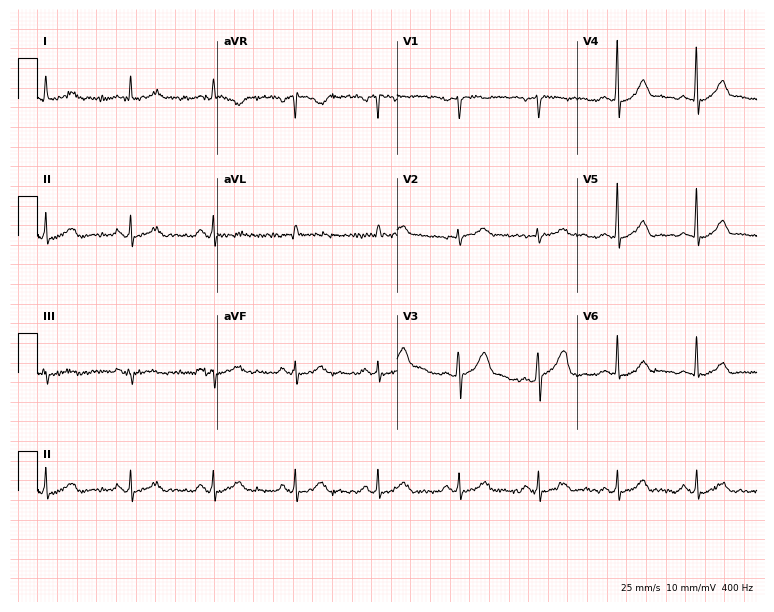
12-lead ECG (7.3-second recording at 400 Hz) from a 55-year-old male patient. Labelled as a normal ECG.